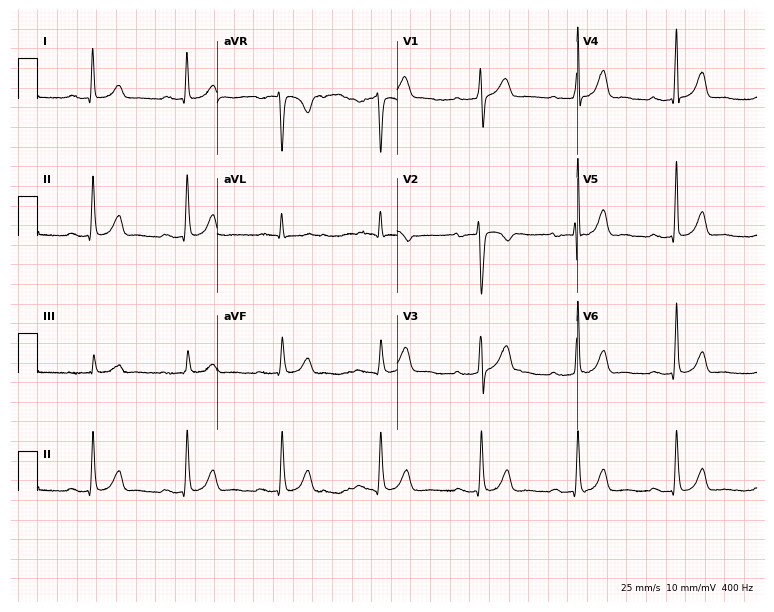
Resting 12-lead electrocardiogram (7.3-second recording at 400 Hz). Patient: a male, 45 years old. The tracing shows first-degree AV block.